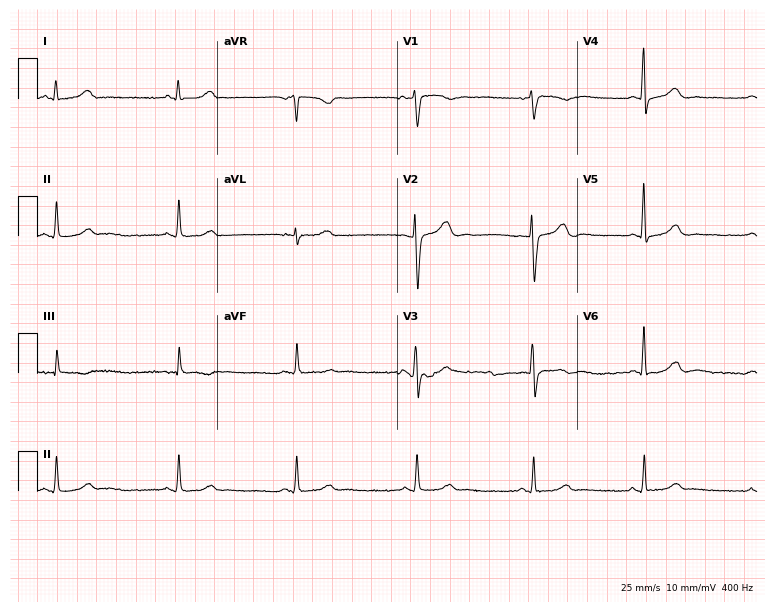
Resting 12-lead electrocardiogram. Patient: a female, 49 years old. None of these six findings is recorded: first-degree AV block, right bundle branch block, left bundle branch block, sinus bradycardia, atrial fibrillation, sinus tachycardia.